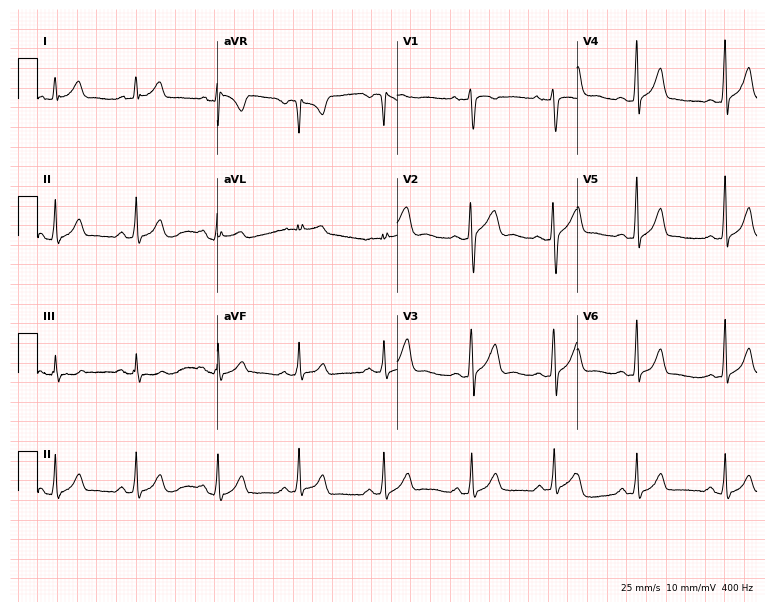
12-lead ECG from a man, 26 years old. Recorded interpretation: within normal limits.